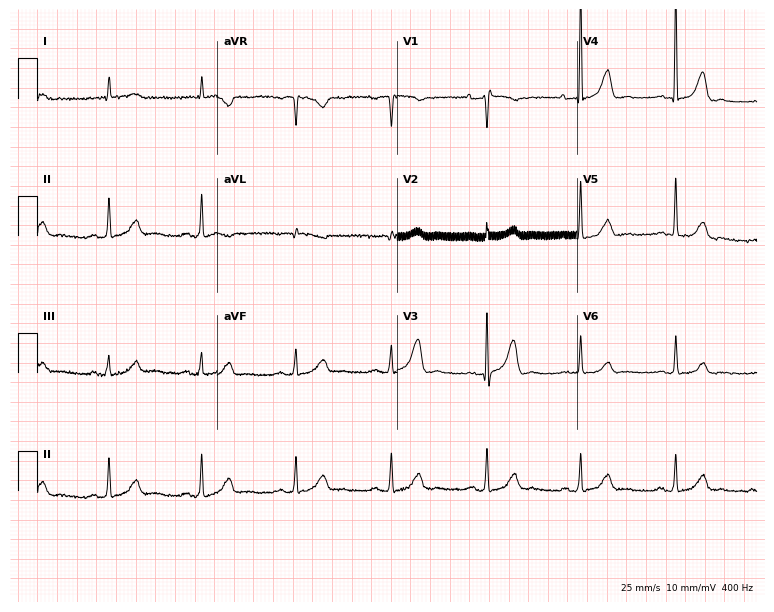
Resting 12-lead electrocardiogram. Patient: a female, 74 years old. Read as a normal ECG.